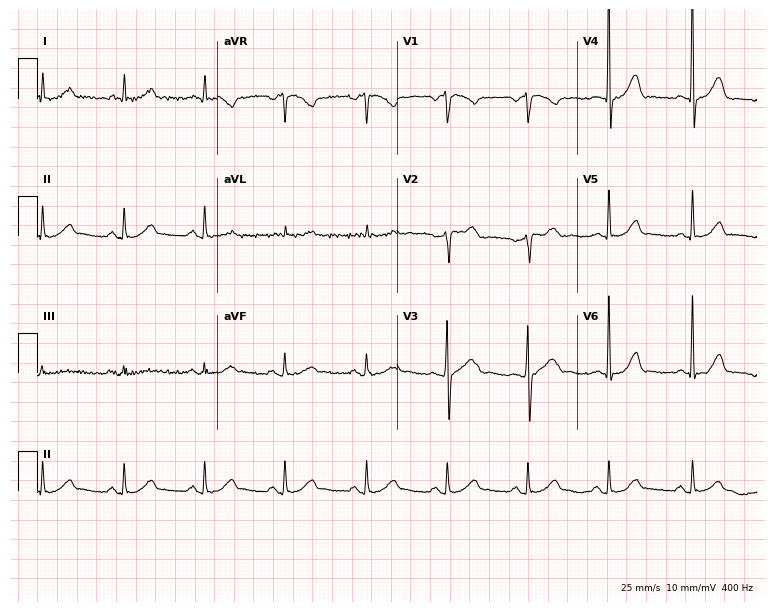
ECG — a male patient, 66 years old. Labelled as a normal ECG.